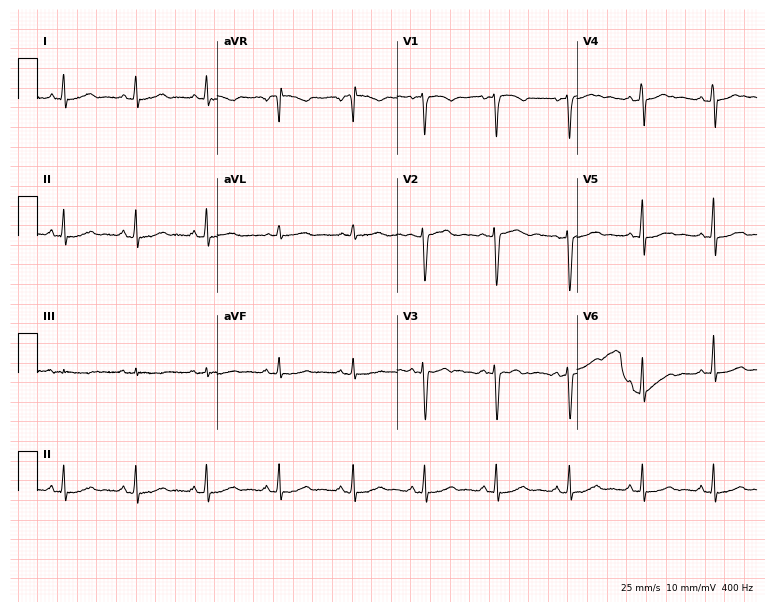
Standard 12-lead ECG recorded from a 23-year-old female (7.3-second recording at 400 Hz). None of these six findings is recorded: first-degree AV block, right bundle branch block, left bundle branch block, sinus bradycardia, atrial fibrillation, sinus tachycardia.